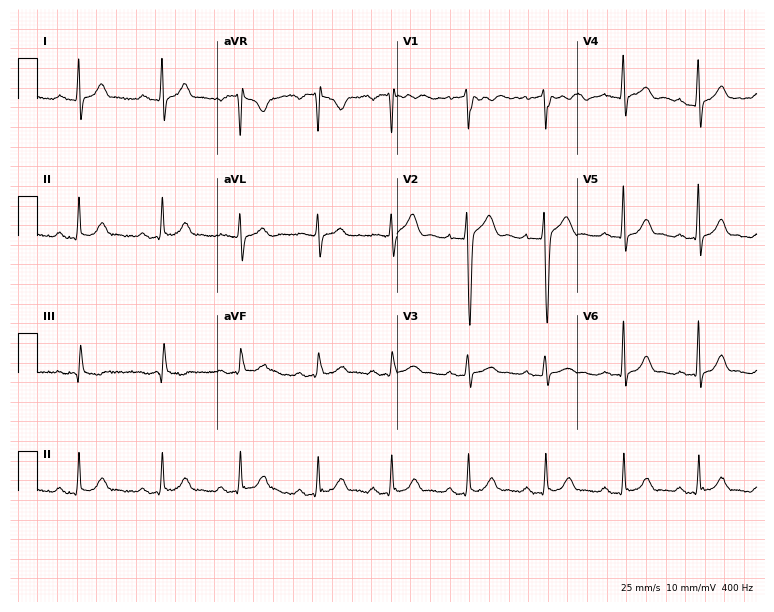
12-lead ECG (7.3-second recording at 400 Hz) from a male patient, 25 years old. Labelled as a normal ECG.